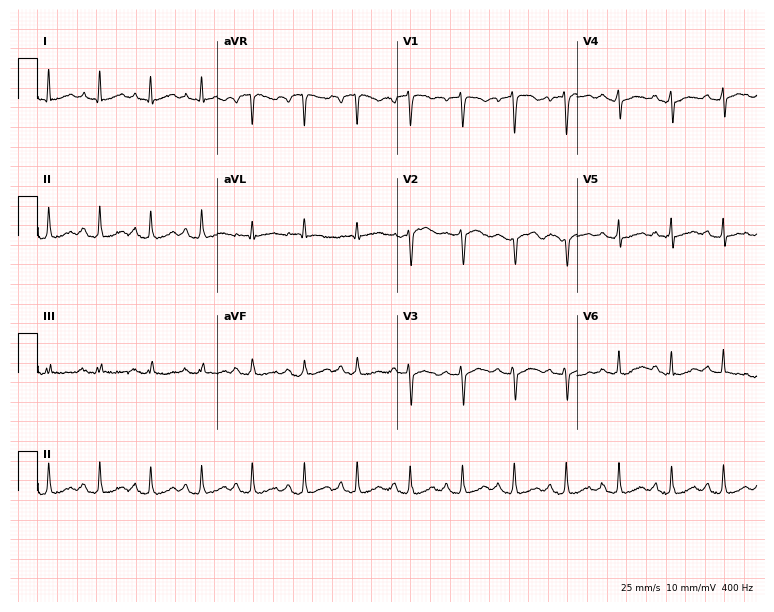
ECG (7.3-second recording at 400 Hz) — a female patient, 63 years old. Screened for six findings — first-degree AV block, right bundle branch block, left bundle branch block, sinus bradycardia, atrial fibrillation, sinus tachycardia — none is recorded.